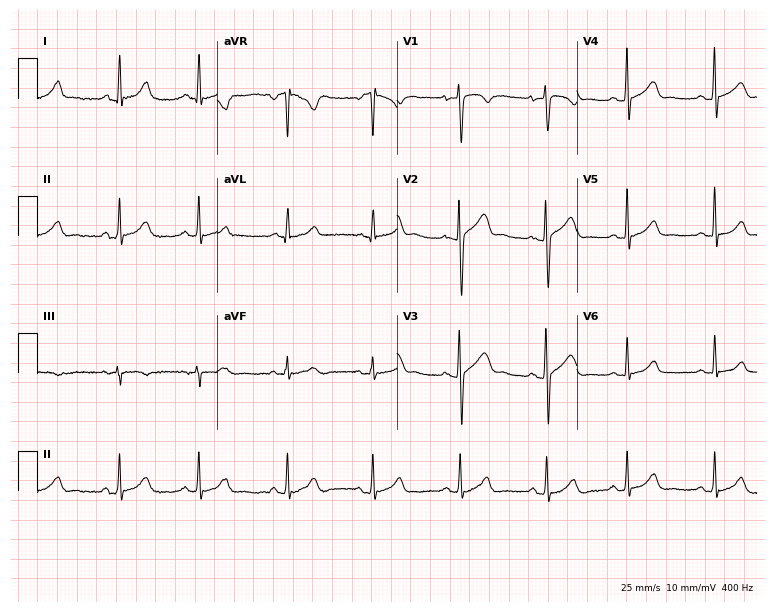
Resting 12-lead electrocardiogram. Patient: a female, 18 years old. Read as a normal ECG.